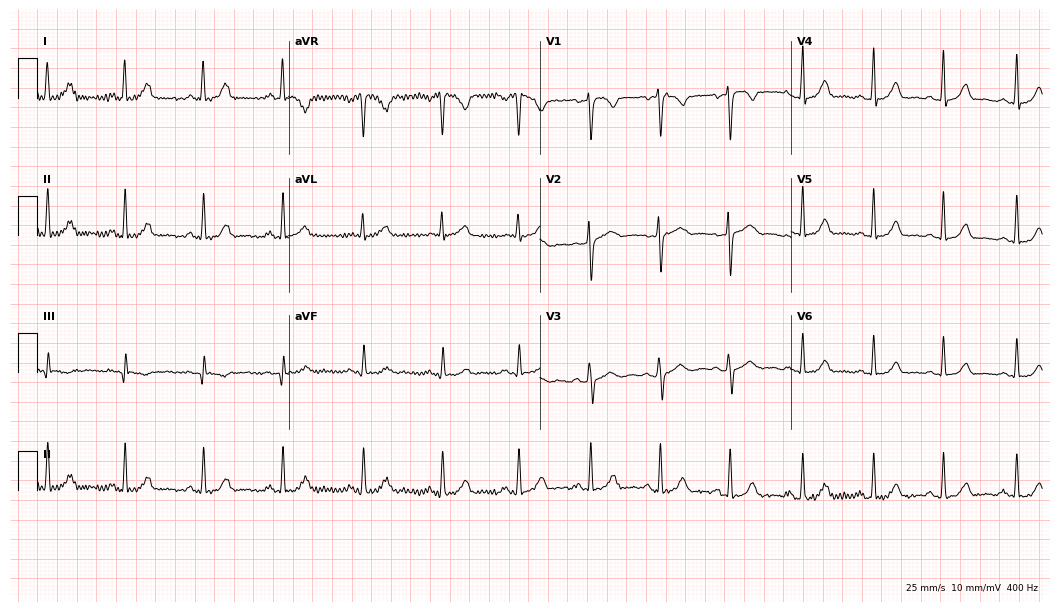
Resting 12-lead electrocardiogram. Patient: a 35-year-old woman. Read as a normal ECG.